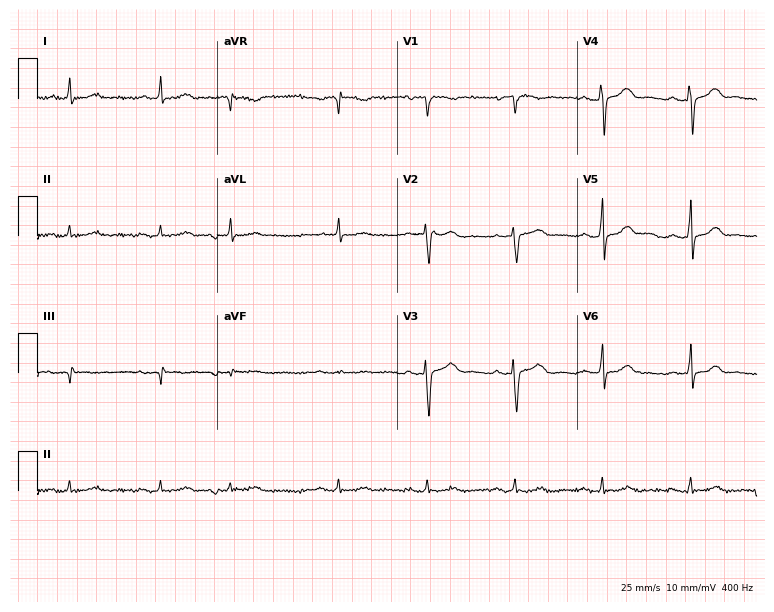
ECG (7.3-second recording at 400 Hz) — a male patient, 57 years old. Screened for six findings — first-degree AV block, right bundle branch block, left bundle branch block, sinus bradycardia, atrial fibrillation, sinus tachycardia — none is recorded.